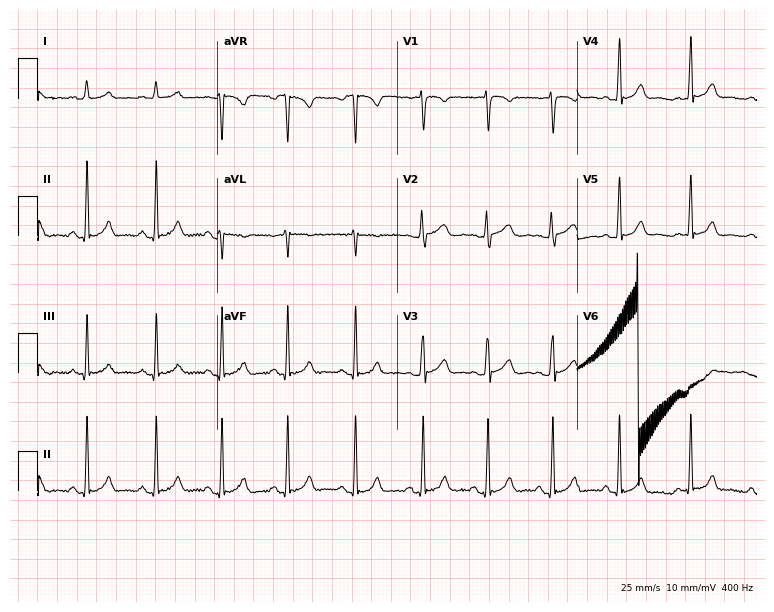
ECG (7.3-second recording at 400 Hz) — a woman, 20 years old. Screened for six findings — first-degree AV block, right bundle branch block, left bundle branch block, sinus bradycardia, atrial fibrillation, sinus tachycardia — none is recorded.